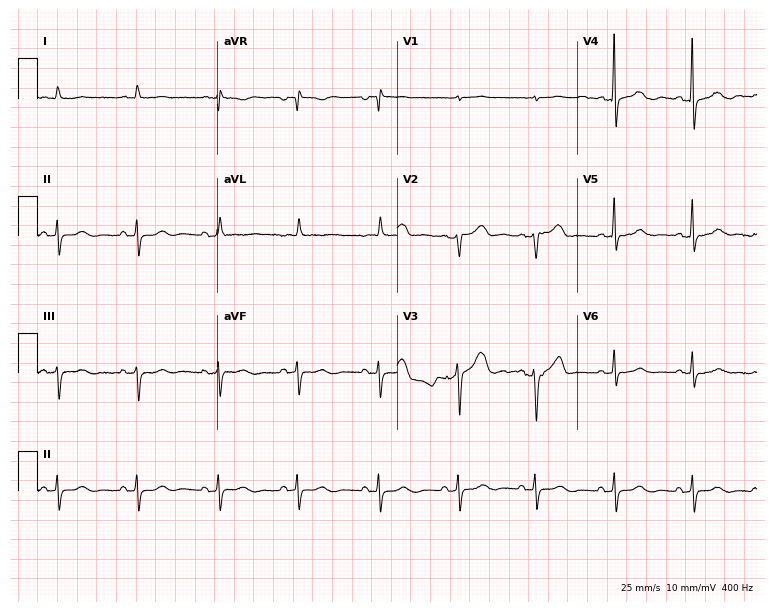
Standard 12-lead ECG recorded from a 65-year-old female. None of these six findings is recorded: first-degree AV block, right bundle branch block, left bundle branch block, sinus bradycardia, atrial fibrillation, sinus tachycardia. Only these six findings were labelled.